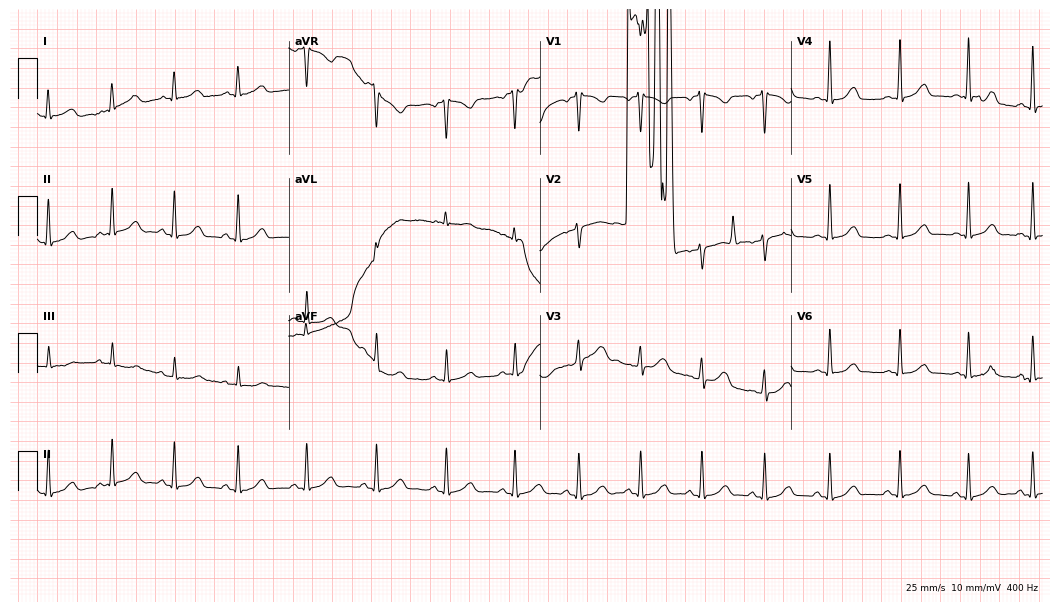
12-lead ECG from a woman, 31 years old (10.2-second recording at 400 Hz). No first-degree AV block, right bundle branch block (RBBB), left bundle branch block (LBBB), sinus bradycardia, atrial fibrillation (AF) or sinus tachycardia recorded for this tracing. Only these six findings were labelled.